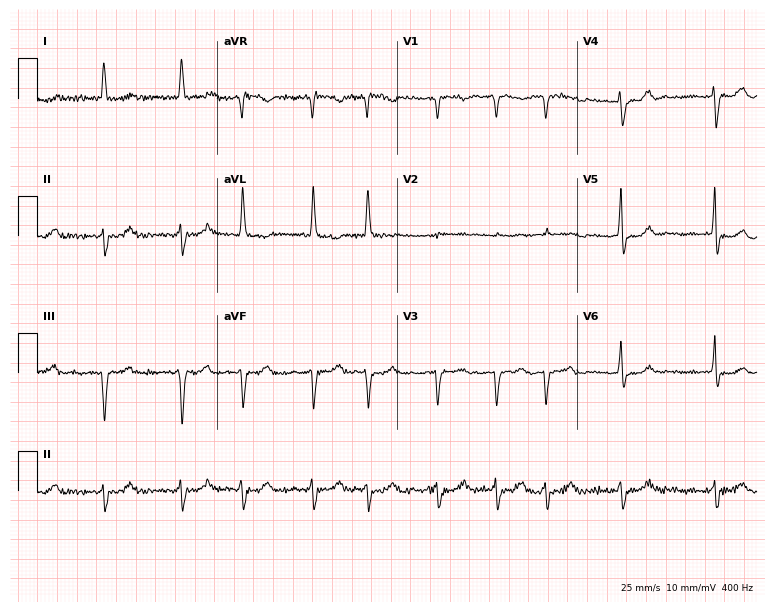
Resting 12-lead electrocardiogram (7.3-second recording at 400 Hz). Patient: a 68-year-old female. None of these six findings is recorded: first-degree AV block, right bundle branch block (RBBB), left bundle branch block (LBBB), sinus bradycardia, atrial fibrillation (AF), sinus tachycardia. Other findings, if any, are not listed.